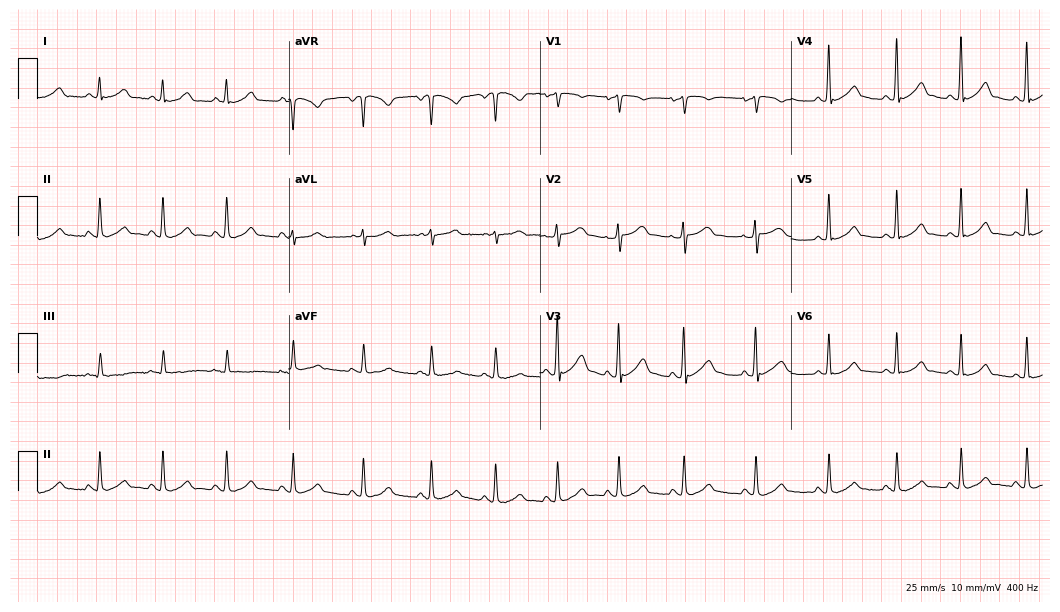
12-lead ECG (10.2-second recording at 400 Hz) from a female, 39 years old. Labelled as a normal ECG.